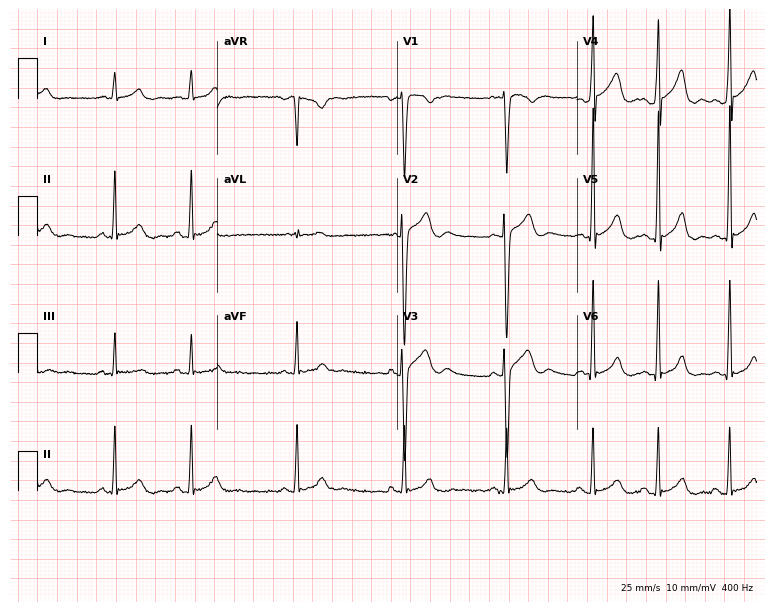
Standard 12-lead ECG recorded from a man, 24 years old. Read as a normal ECG.